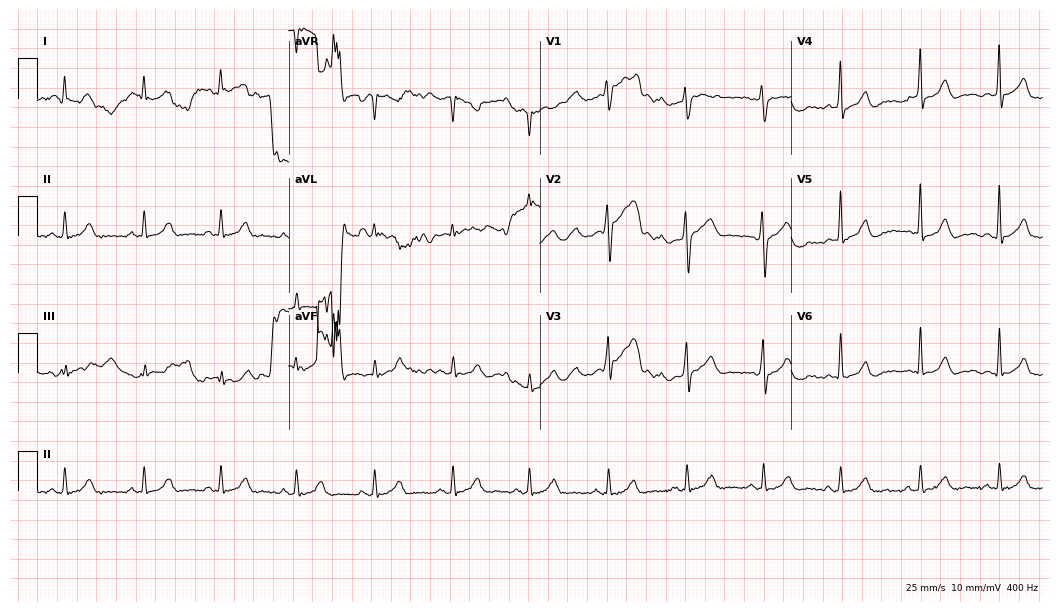
Electrocardiogram (10.2-second recording at 400 Hz), a 30-year-old male. Overall reading on record: normal ECG.